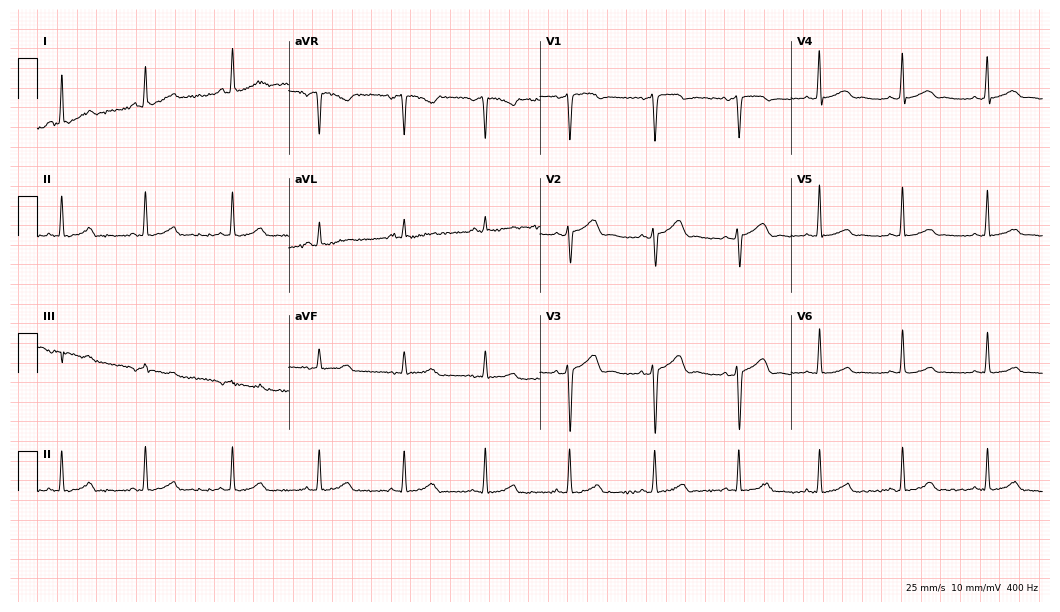
Standard 12-lead ECG recorded from a male, 77 years old (10.2-second recording at 400 Hz). Read as a normal ECG.